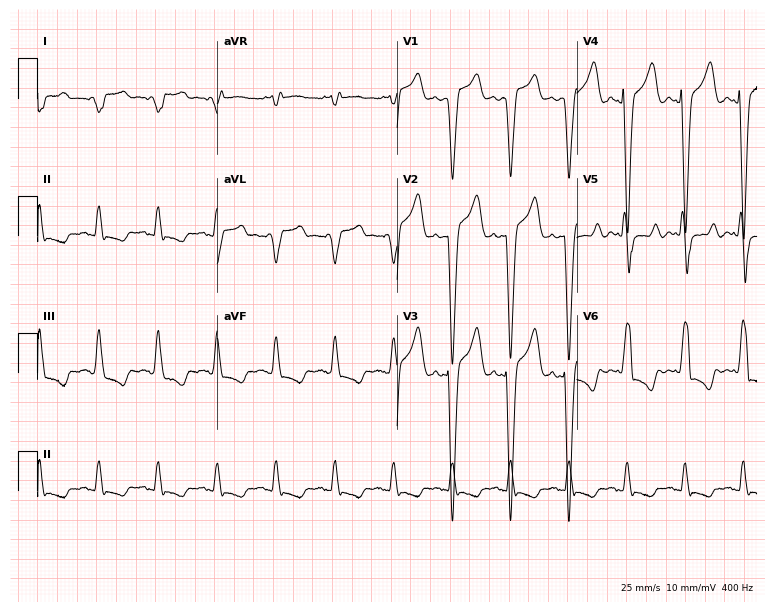
Standard 12-lead ECG recorded from a 51-year-old man (7.3-second recording at 400 Hz). The tracing shows left bundle branch block.